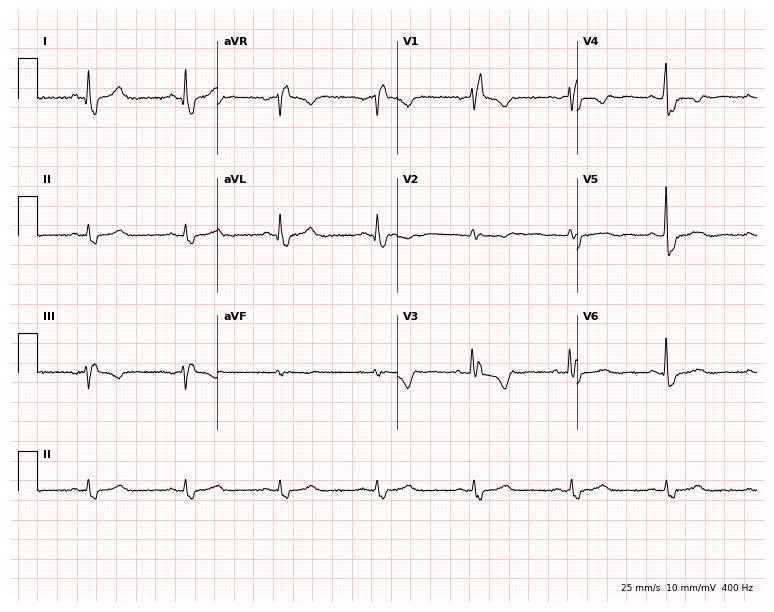
Resting 12-lead electrocardiogram. Patient: a female, 50 years old. The tracing shows right bundle branch block (RBBB).